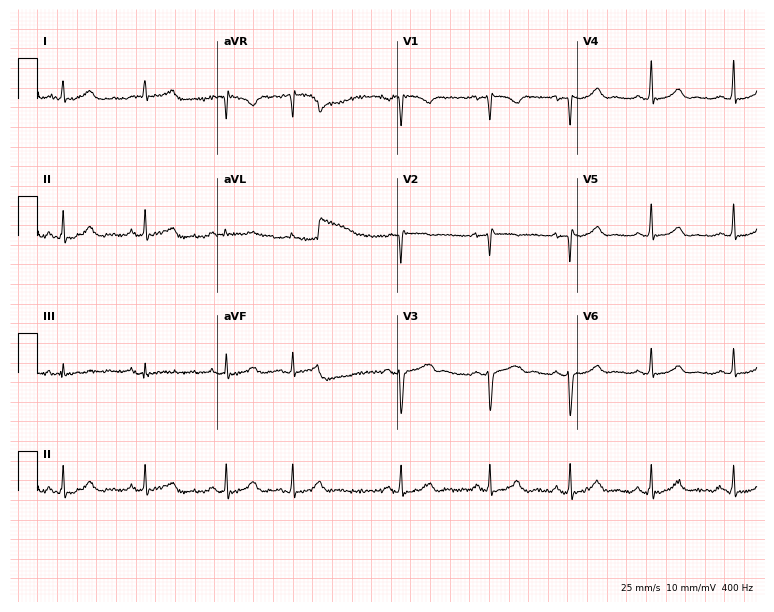
Resting 12-lead electrocardiogram. Patient: a female, 37 years old. Read as a normal ECG.